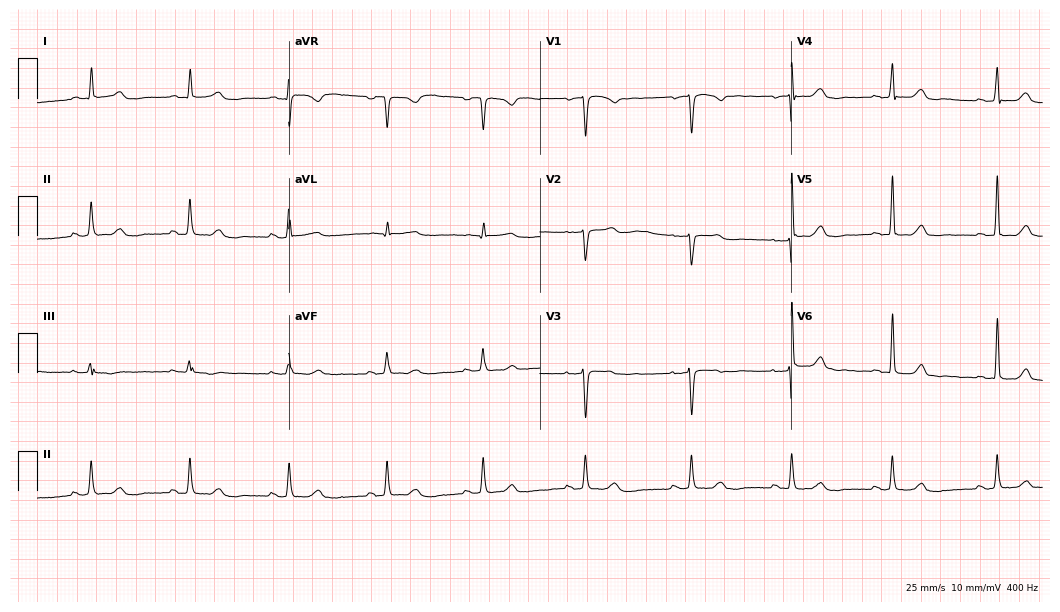
12-lead ECG from a woman, 67 years old. Labelled as a normal ECG.